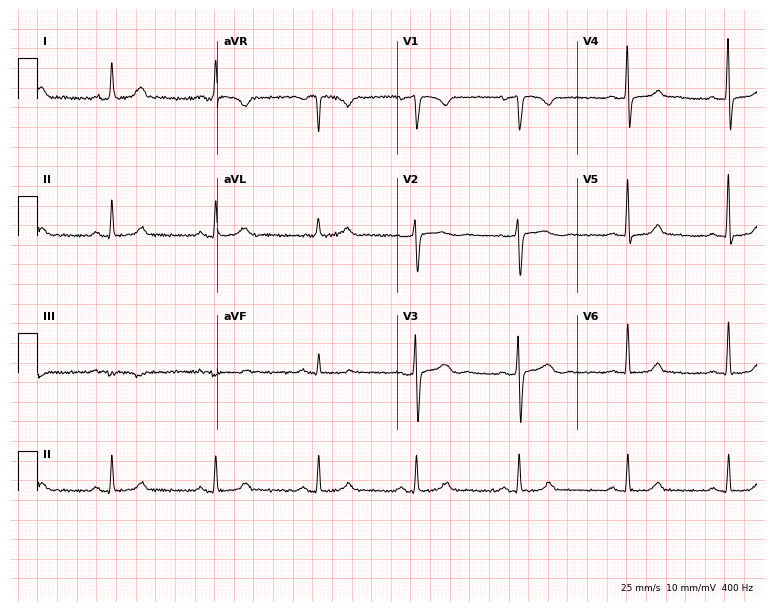
Resting 12-lead electrocardiogram (7.3-second recording at 400 Hz). Patient: a woman, 36 years old. None of these six findings is recorded: first-degree AV block, right bundle branch block (RBBB), left bundle branch block (LBBB), sinus bradycardia, atrial fibrillation (AF), sinus tachycardia.